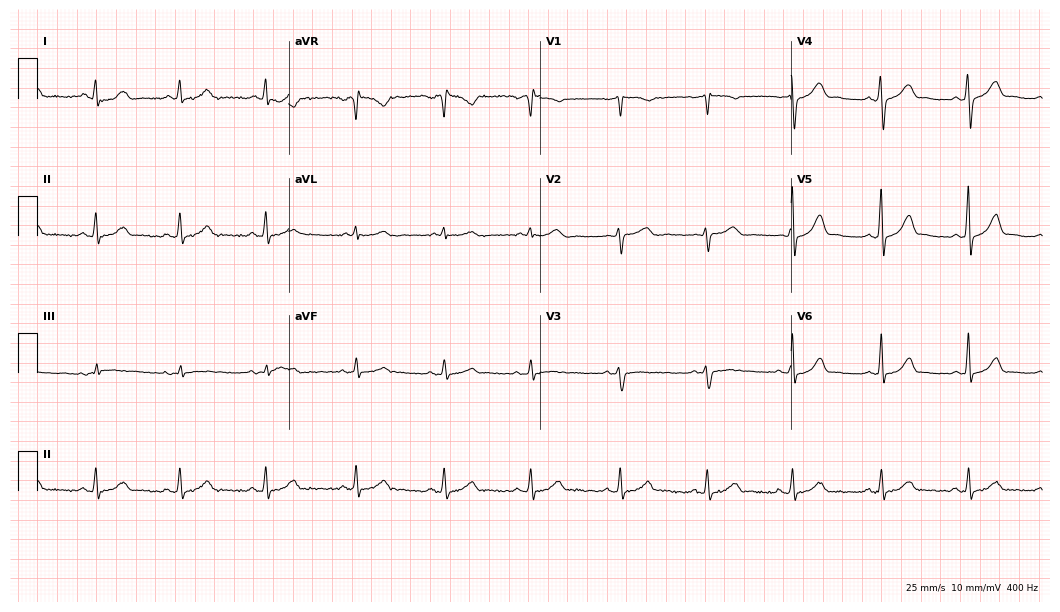
Electrocardiogram, a 32-year-old female. Overall reading on record: normal ECG.